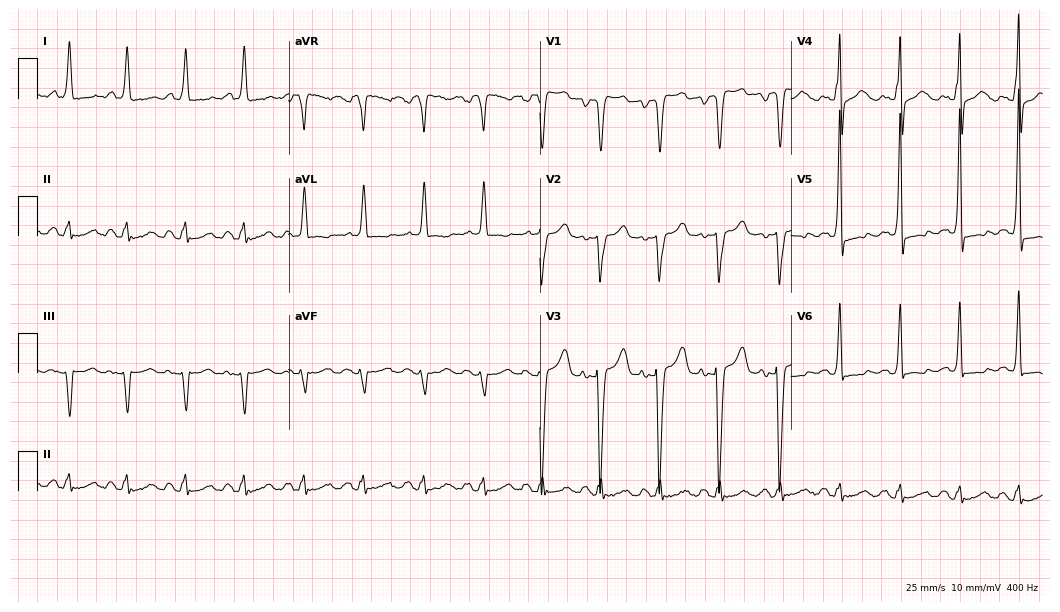
12-lead ECG from a 66-year-old woman. Screened for six findings — first-degree AV block, right bundle branch block, left bundle branch block, sinus bradycardia, atrial fibrillation, sinus tachycardia — none is recorded. Other findings, if any, are not listed.